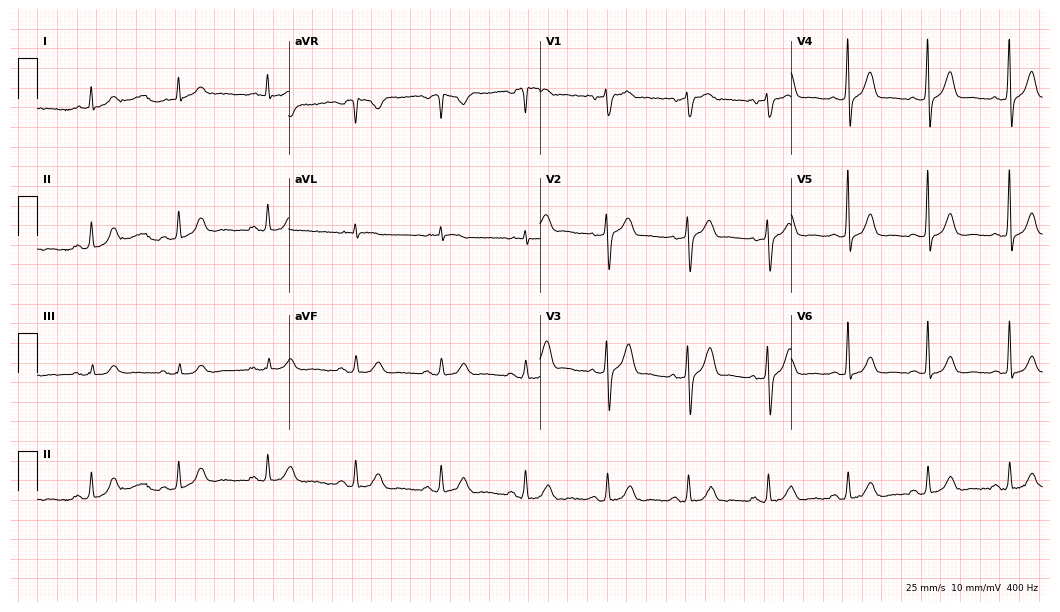
ECG — a male, 72 years old. Labelled as a normal ECG.